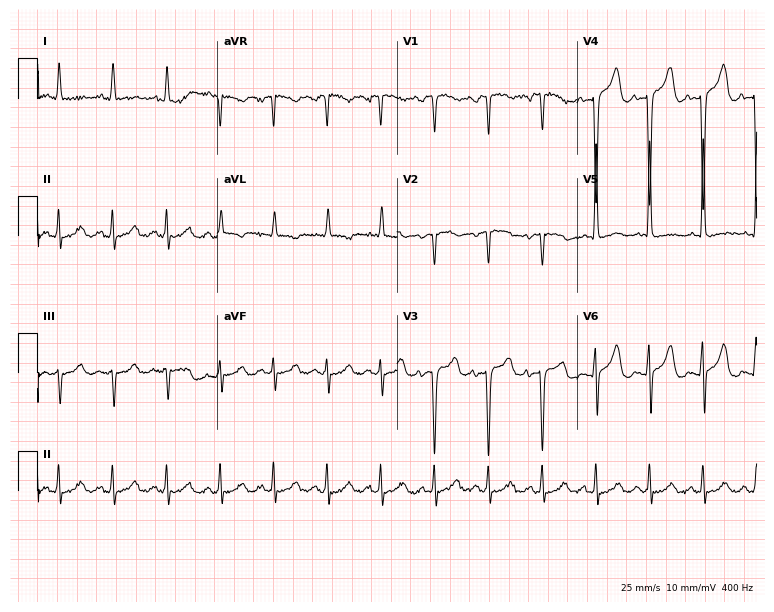
Resting 12-lead electrocardiogram (7.3-second recording at 400 Hz). Patient: a 61-year-old male. The tracing shows sinus tachycardia (a sinus rate of 100 beats per minute or more).